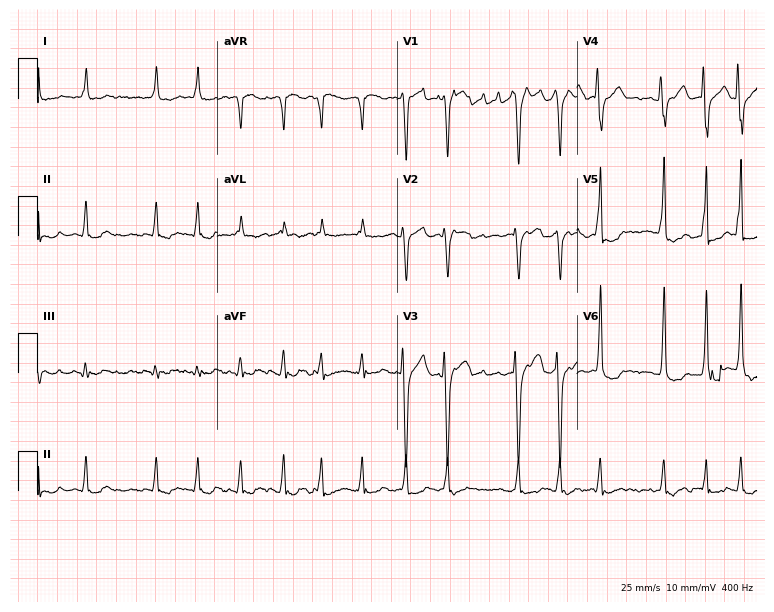
Standard 12-lead ECG recorded from a 62-year-old male. The tracing shows atrial fibrillation.